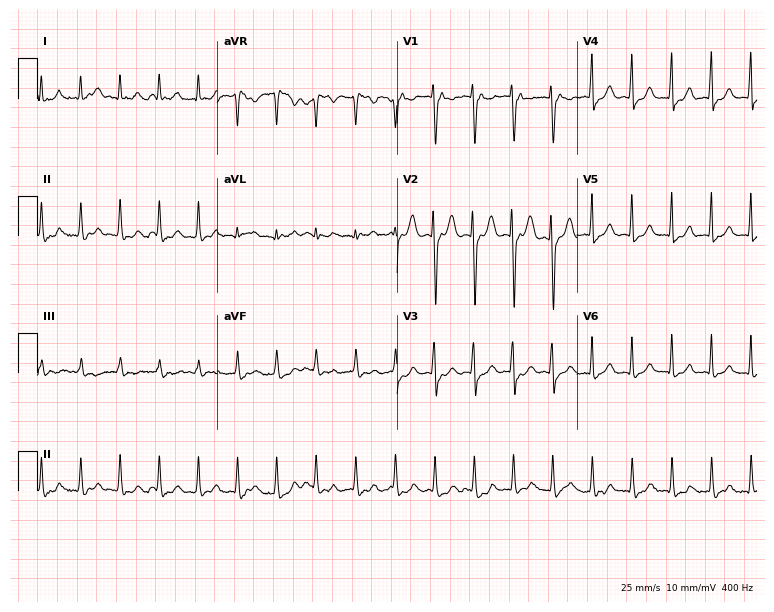
12-lead ECG (7.3-second recording at 400 Hz) from a female patient, 30 years old. Findings include sinus tachycardia (a sinus rate of 100 beats per minute or more).